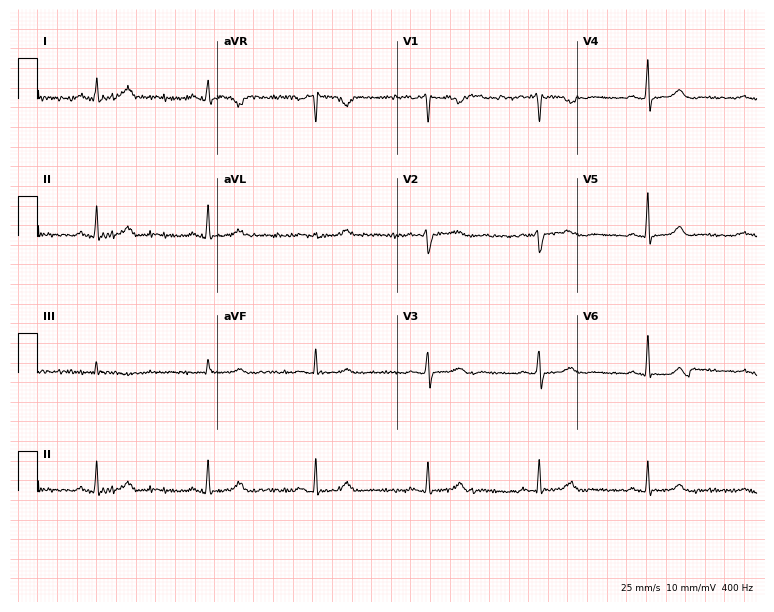
Resting 12-lead electrocardiogram (7.3-second recording at 400 Hz). Patient: a 50-year-old female. None of these six findings is recorded: first-degree AV block, right bundle branch block, left bundle branch block, sinus bradycardia, atrial fibrillation, sinus tachycardia.